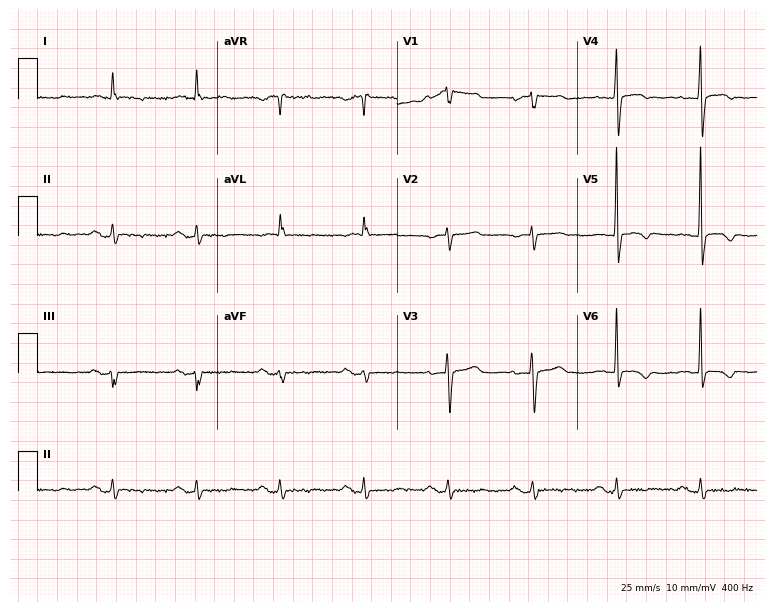
Standard 12-lead ECG recorded from a woman, 74 years old. The tracing shows first-degree AV block.